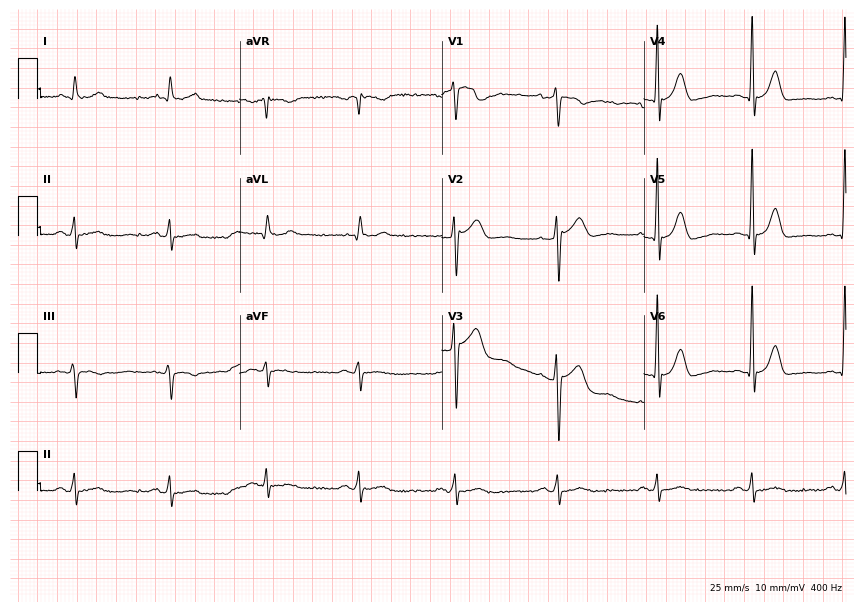
Resting 12-lead electrocardiogram. Patient: a 65-year-old male. Read as a normal ECG.